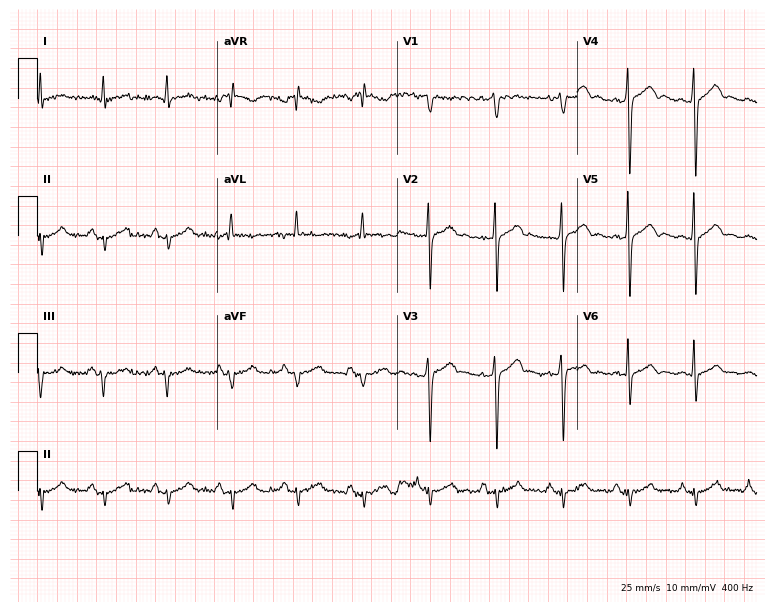
Resting 12-lead electrocardiogram. Patient: a 44-year-old male. None of these six findings is recorded: first-degree AV block, right bundle branch block (RBBB), left bundle branch block (LBBB), sinus bradycardia, atrial fibrillation (AF), sinus tachycardia.